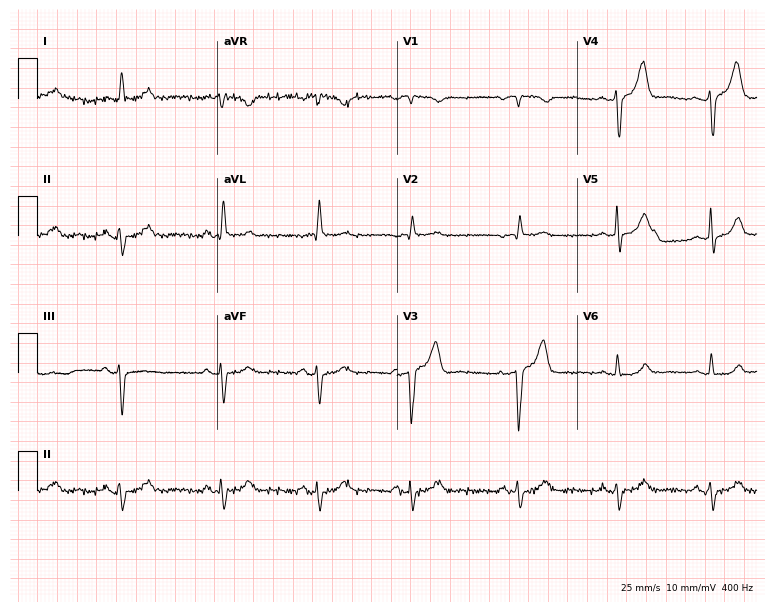
ECG (7.3-second recording at 400 Hz) — a 78-year-old man. Screened for six findings — first-degree AV block, right bundle branch block, left bundle branch block, sinus bradycardia, atrial fibrillation, sinus tachycardia — none is recorded.